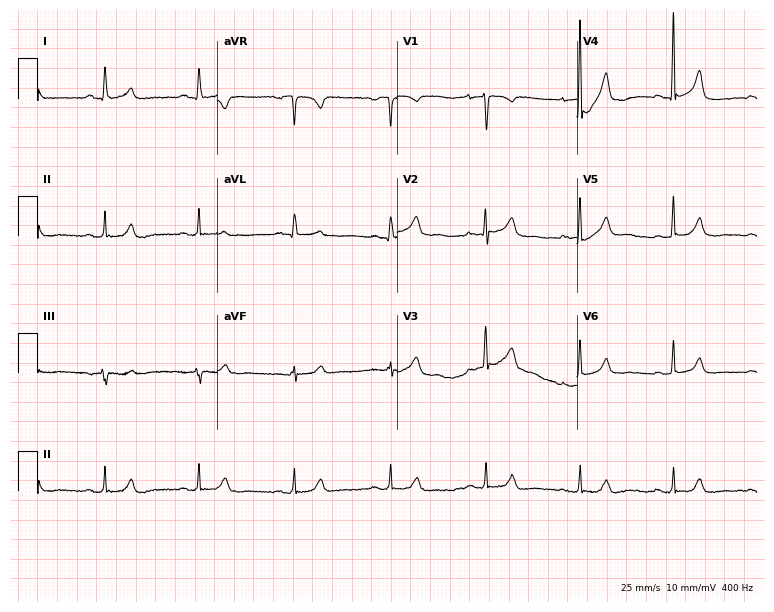
Electrocardiogram (7.3-second recording at 400 Hz), a 65-year-old female. Of the six screened findings (first-degree AV block, right bundle branch block (RBBB), left bundle branch block (LBBB), sinus bradycardia, atrial fibrillation (AF), sinus tachycardia), none is recorded. Only these six findings were labelled.